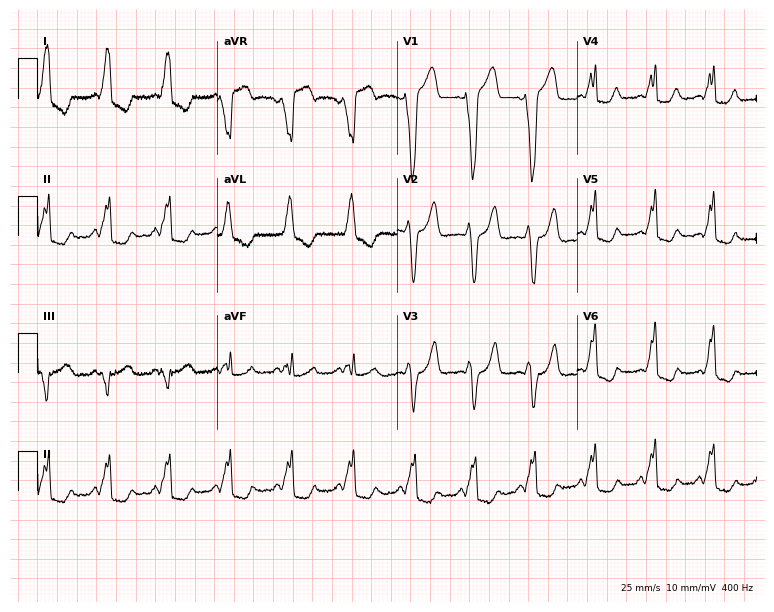
12-lead ECG from a female patient, 21 years old. Findings include left bundle branch block.